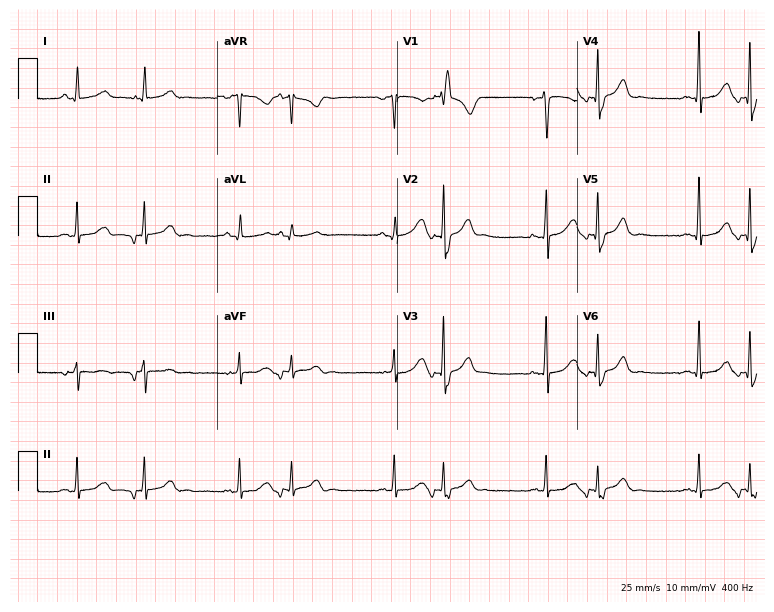
12-lead ECG from a female patient, 45 years old (7.3-second recording at 400 Hz). No first-degree AV block, right bundle branch block (RBBB), left bundle branch block (LBBB), sinus bradycardia, atrial fibrillation (AF) or sinus tachycardia recorded for this tracing.